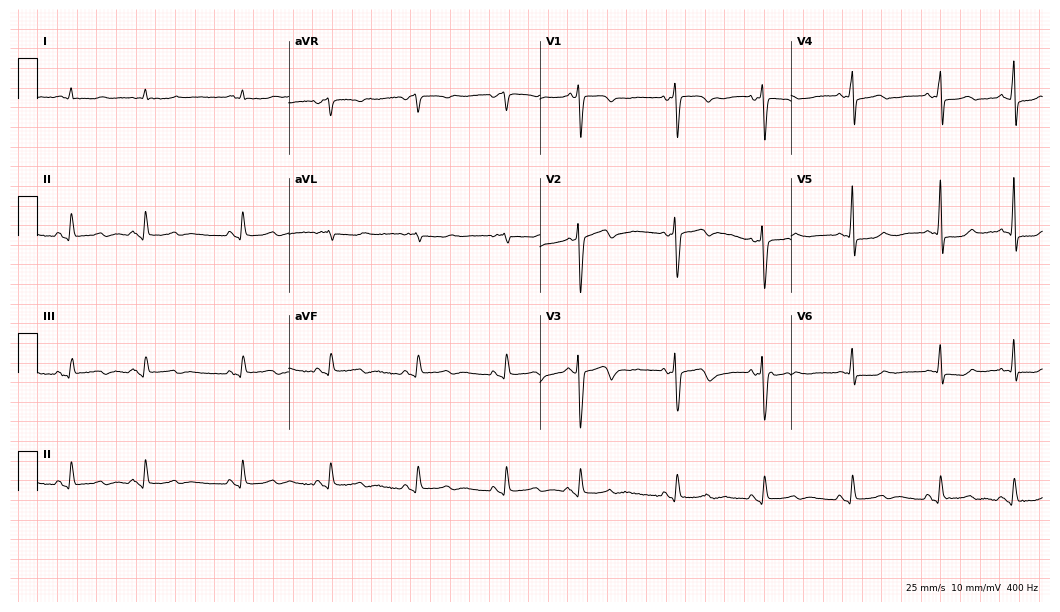
12-lead ECG from a male, 85 years old. No first-degree AV block, right bundle branch block (RBBB), left bundle branch block (LBBB), sinus bradycardia, atrial fibrillation (AF) or sinus tachycardia recorded for this tracing.